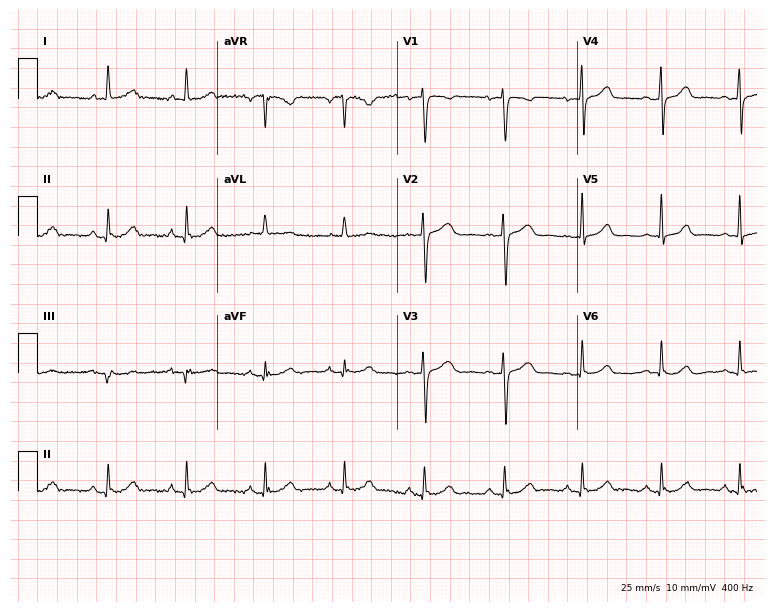
Standard 12-lead ECG recorded from a female patient, 66 years old (7.3-second recording at 400 Hz). Read as a normal ECG.